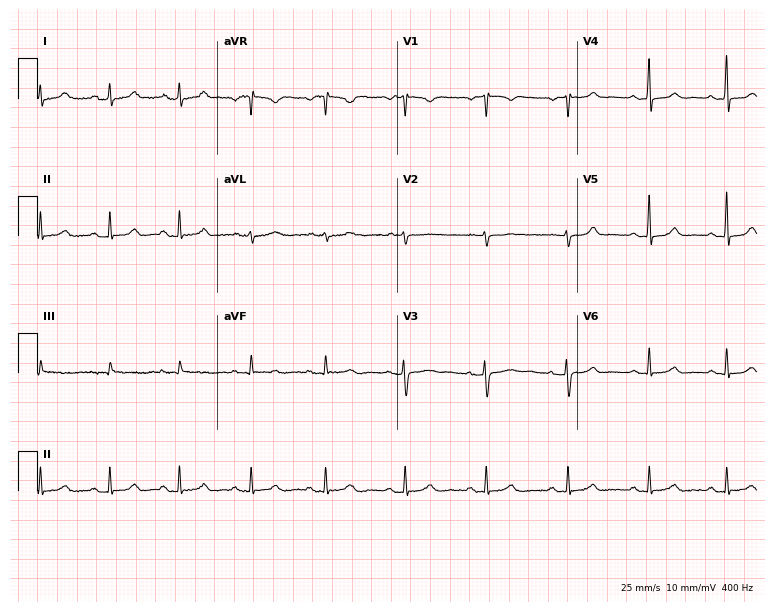
Standard 12-lead ECG recorded from a 35-year-old female. Read as a normal ECG.